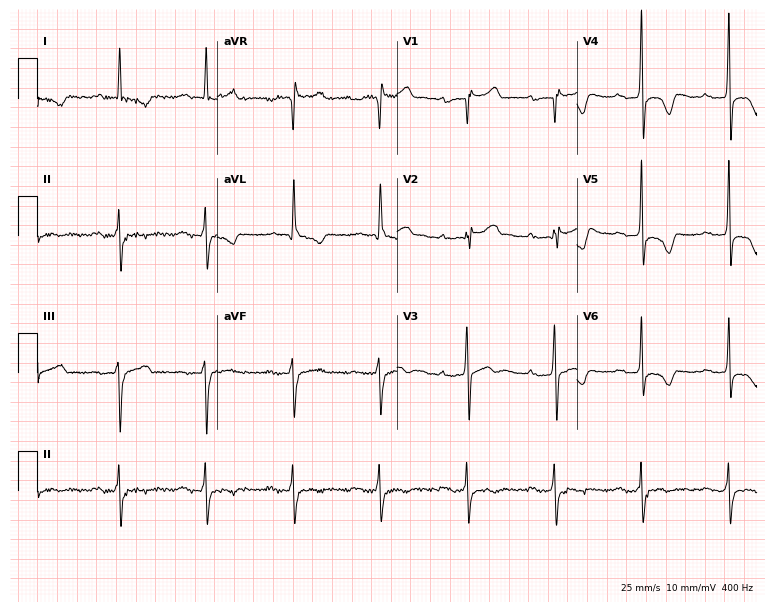
Resting 12-lead electrocardiogram. Patient: a male, 59 years old. None of these six findings is recorded: first-degree AV block, right bundle branch block, left bundle branch block, sinus bradycardia, atrial fibrillation, sinus tachycardia. Only these six findings were labelled.